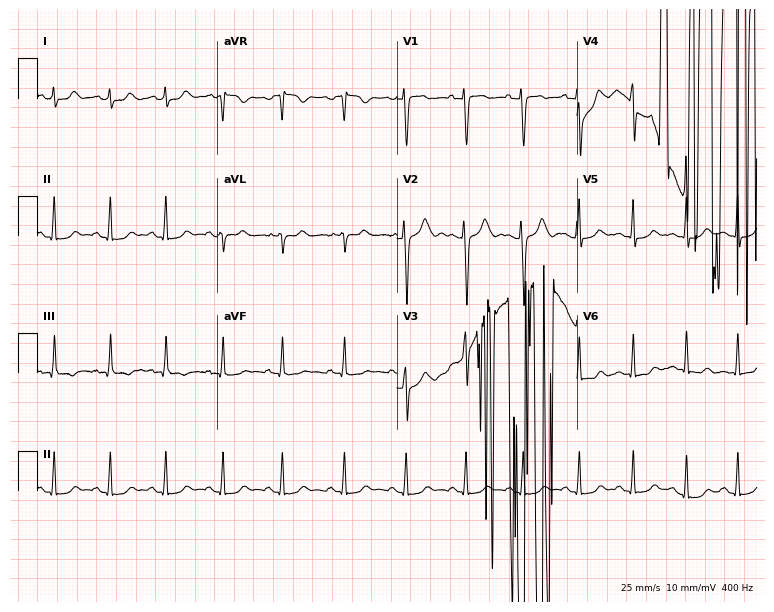
12-lead ECG from a 19-year-old female patient. No first-degree AV block, right bundle branch block, left bundle branch block, sinus bradycardia, atrial fibrillation or sinus tachycardia recorded for this tracing. Only these six findings were labelled.